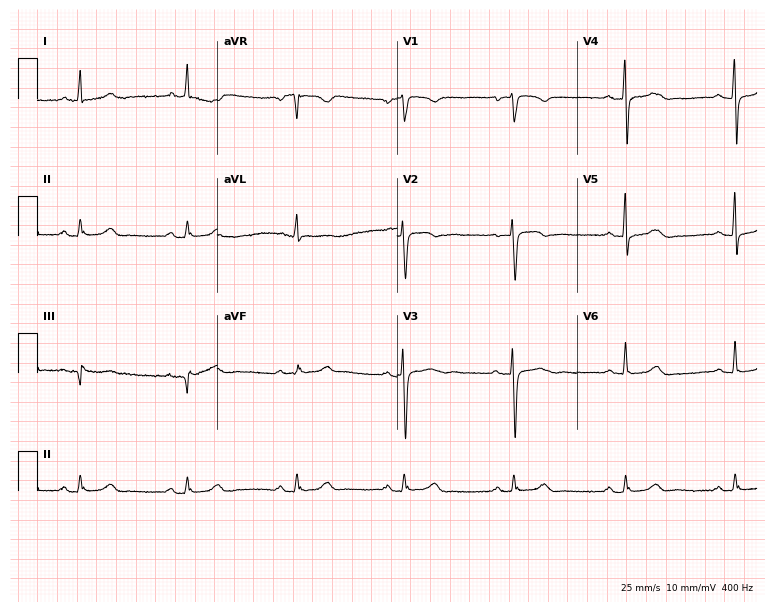
Resting 12-lead electrocardiogram (7.3-second recording at 400 Hz). Patient: a female, 59 years old. Read as a normal ECG.